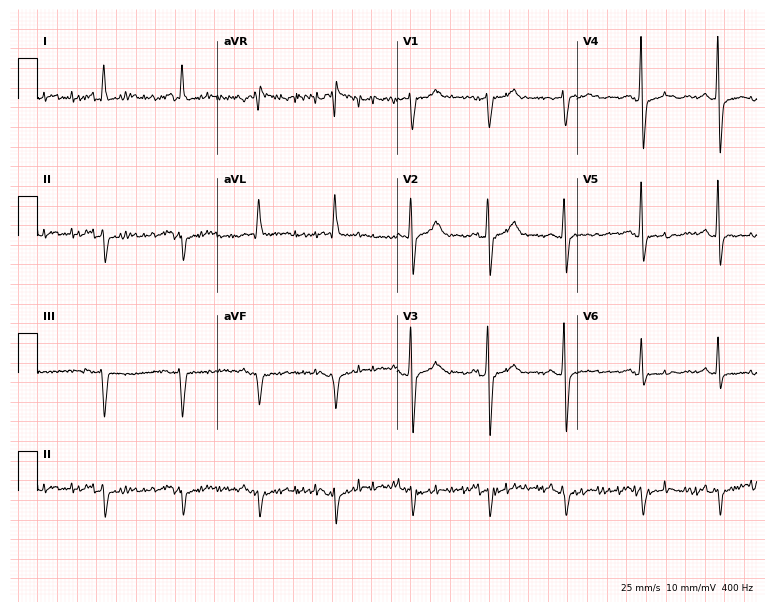
ECG (7.3-second recording at 400 Hz) — a male, 65 years old. Screened for six findings — first-degree AV block, right bundle branch block, left bundle branch block, sinus bradycardia, atrial fibrillation, sinus tachycardia — none is recorded. Other findings, if any, are not listed.